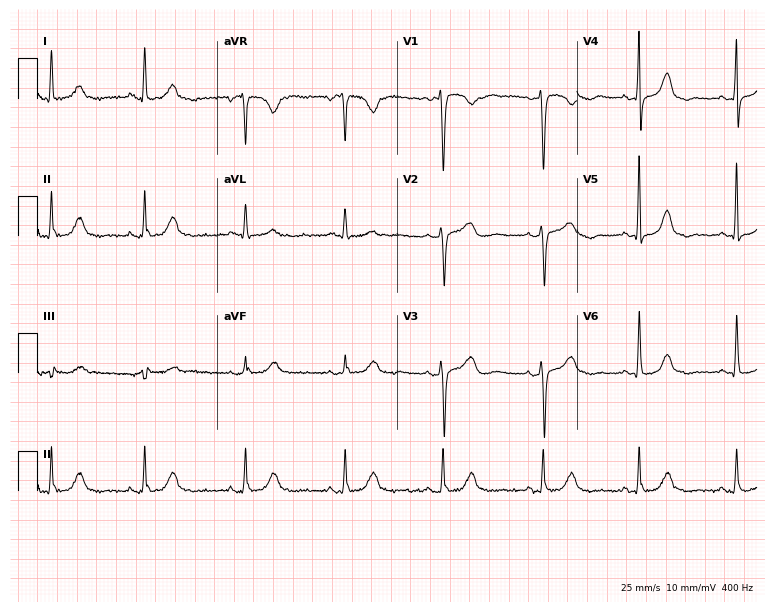
12-lead ECG from a 62-year-old woman. Recorded interpretation: within normal limits.